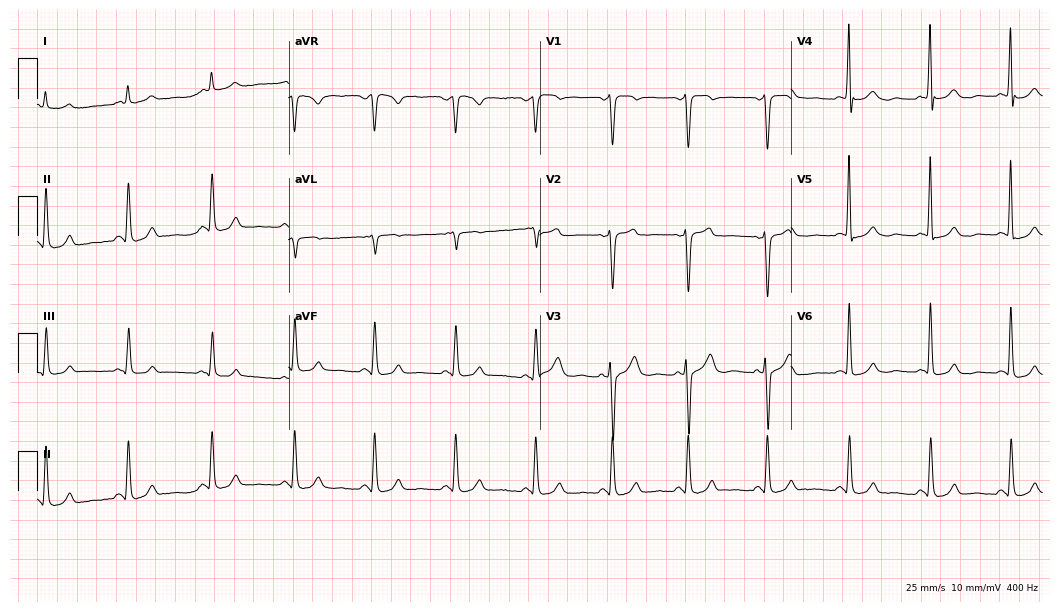
ECG — a 51-year-old male. Labelled as a normal ECG.